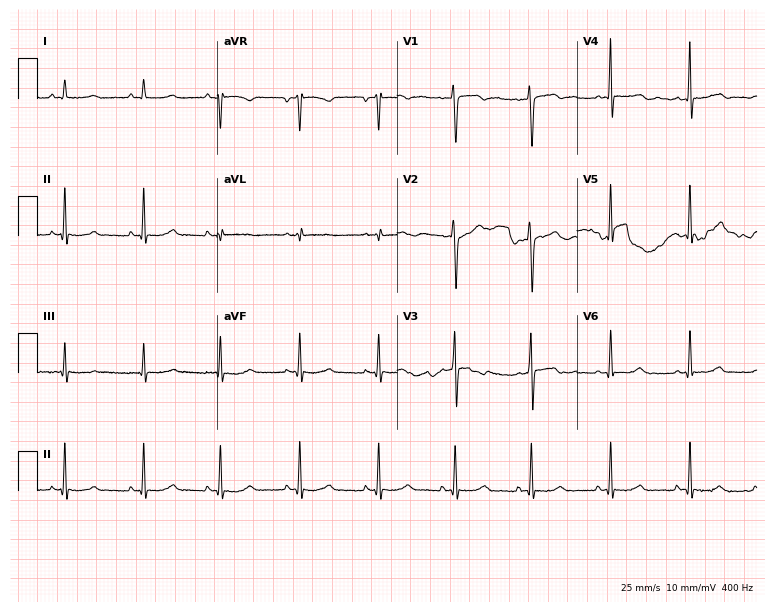
ECG (7.3-second recording at 400 Hz) — a female, 17 years old. Labelled as a normal ECG.